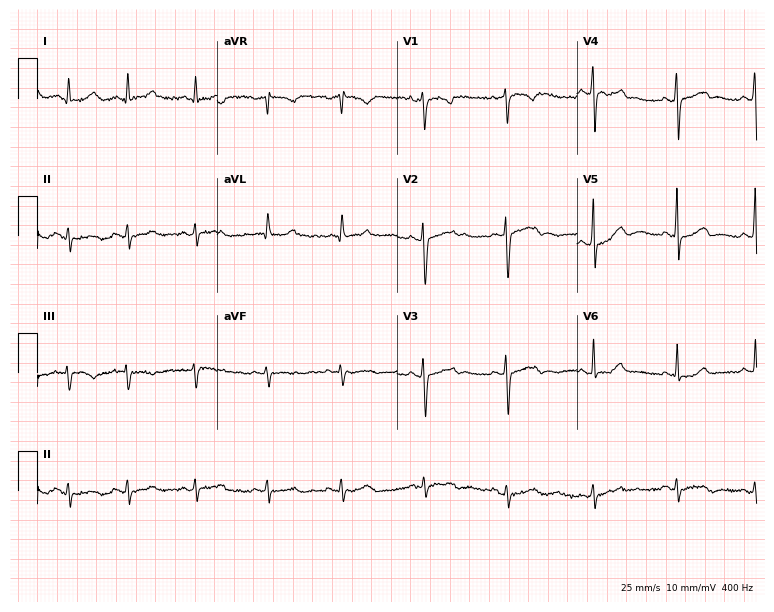
Standard 12-lead ECG recorded from a woman, 31 years old (7.3-second recording at 400 Hz). Read as a normal ECG.